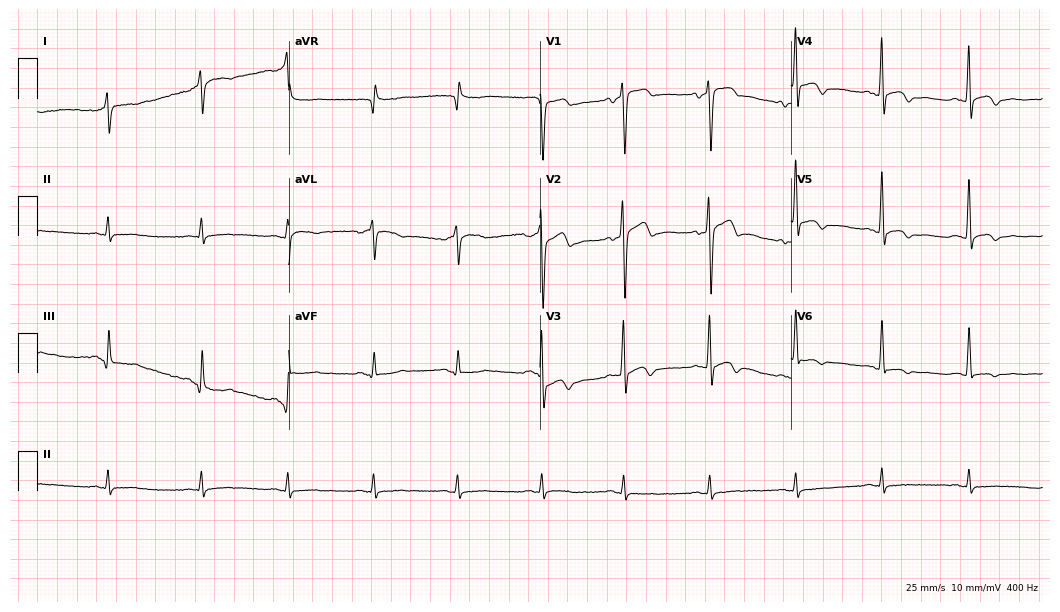
12-lead ECG from a female, 69 years old. Screened for six findings — first-degree AV block, right bundle branch block, left bundle branch block, sinus bradycardia, atrial fibrillation, sinus tachycardia — none is recorded. Other findings, if any, are not listed.